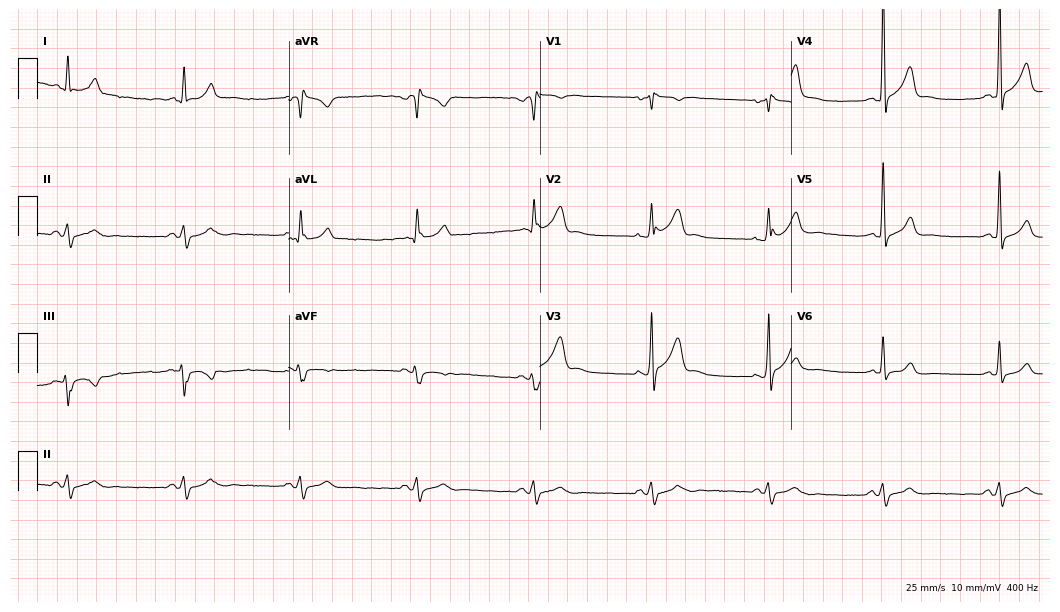
Electrocardiogram (10.2-second recording at 400 Hz), a 61-year-old male patient. Of the six screened findings (first-degree AV block, right bundle branch block, left bundle branch block, sinus bradycardia, atrial fibrillation, sinus tachycardia), none is recorded.